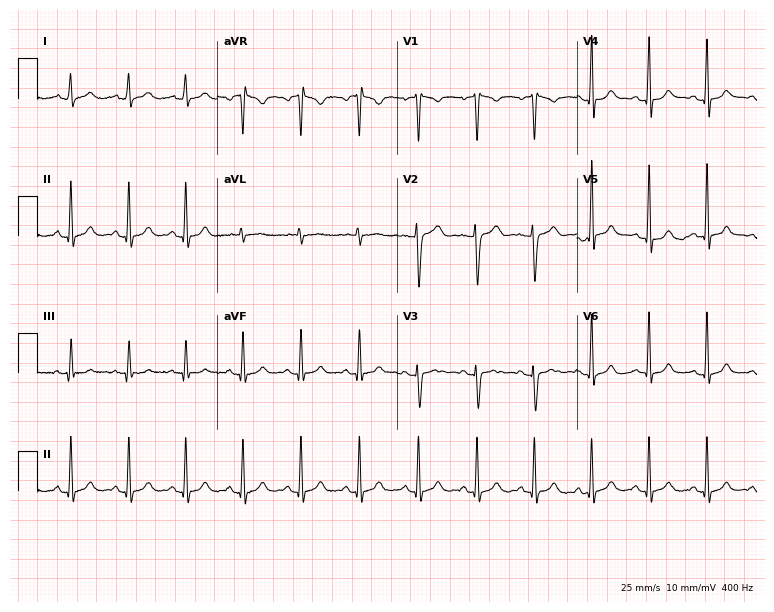
Standard 12-lead ECG recorded from a female, 22 years old (7.3-second recording at 400 Hz). The tracing shows sinus tachycardia (a sinus rate of 100 beats per minute or more).